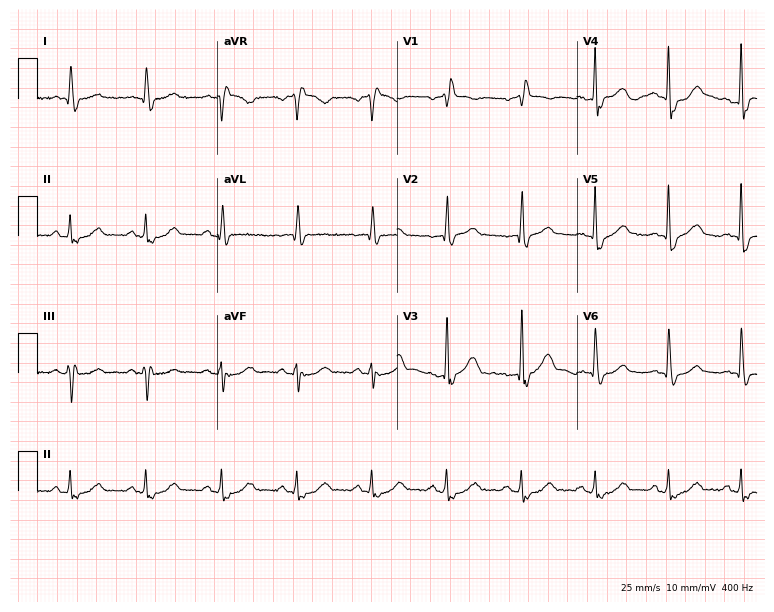
ECG (7.3-second recording at 400 Hz) — an 81-year-old man. Findings include right bundle branch block.